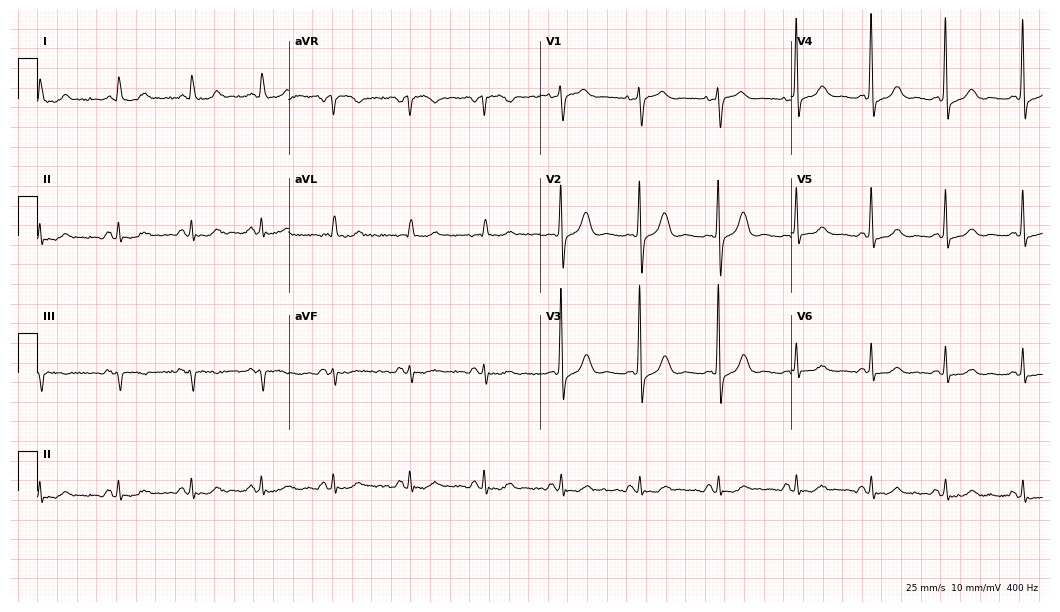
Electrocardiogram (10.2-second recording at 400 Hz), a woman, 85 years old. Of the six screened findings (first-degree AV block, right bundle branch block, left bundle branch block, sinus bradycardia, atrial fibrillation, sinus tachycardia), none is recorded.